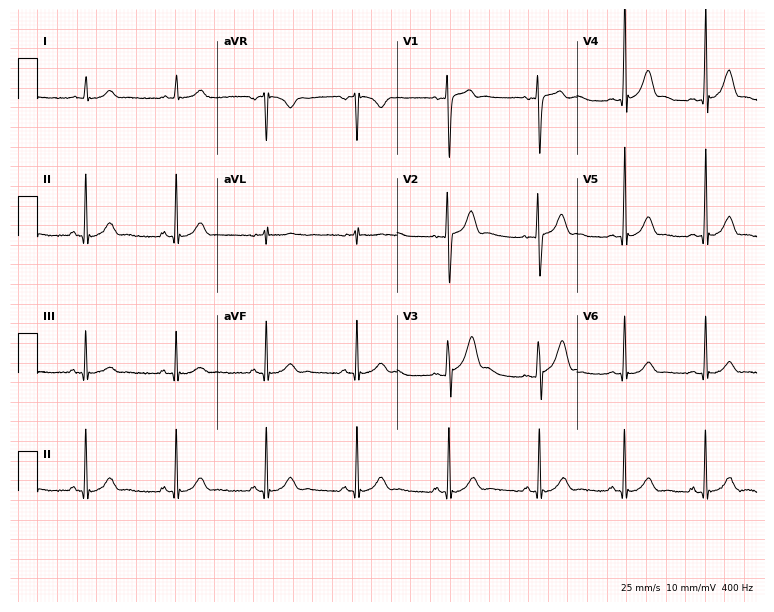
12-lead ECG from a male patient, 20 years old. Labelled as a normal ECG.